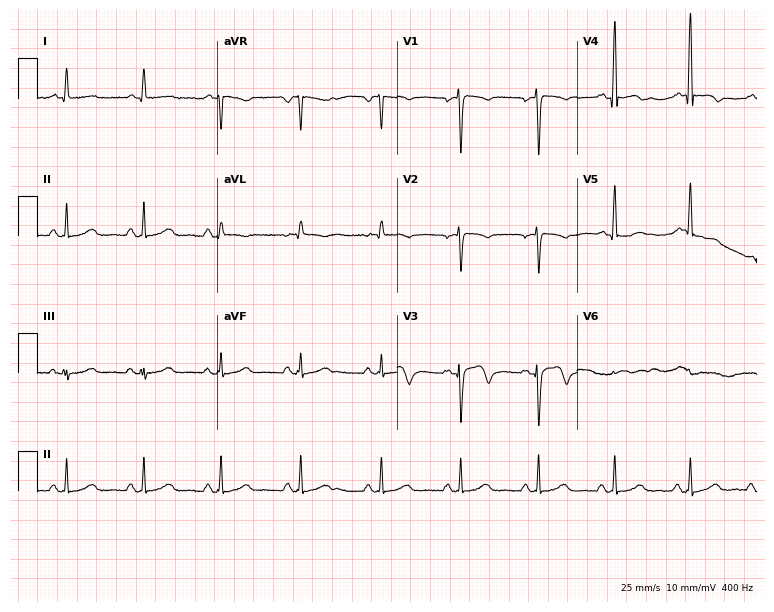
Resting 12-lead electrocardiogram. Patient: a 70-year-old male. None of these six findings is recorded: first-degree AV block, right bundle branch block (RBBB), left bundle branch block (LBBB), sinus bradycardia, atrial fibrillation (AF), sinus tachycardia.